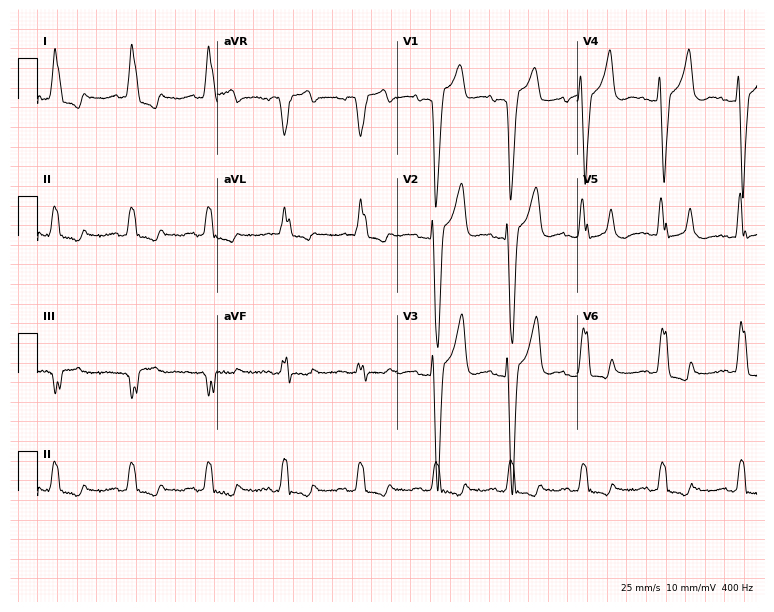
ECG — a female patient, 84 years old. Screened for six findings — first-degree AV block, right bundle branch block, left bundle branch block, sinus bradycardia, atrial fibrillation, sinus tachycardia — none is recorded.